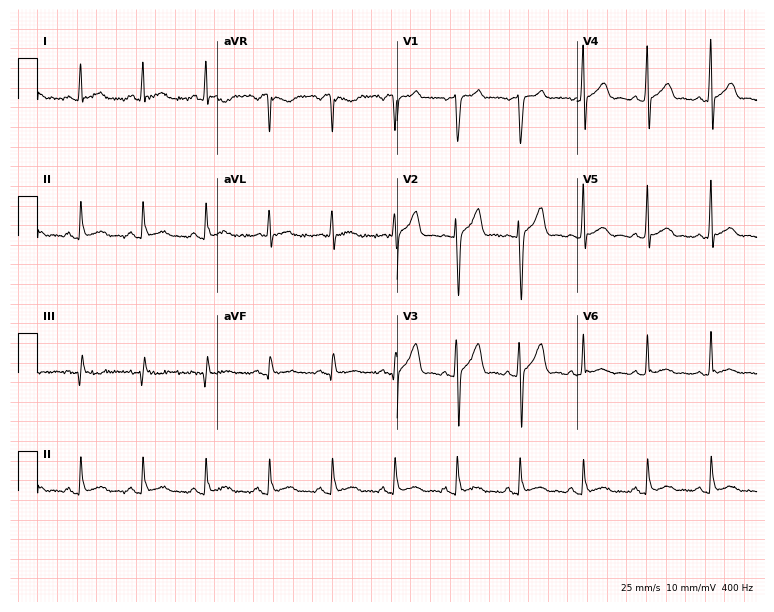
Standard 12-lead ECG recorded from a 37-year-old man (7.3-second recording at 400 Hz). Read as a normal ECG.